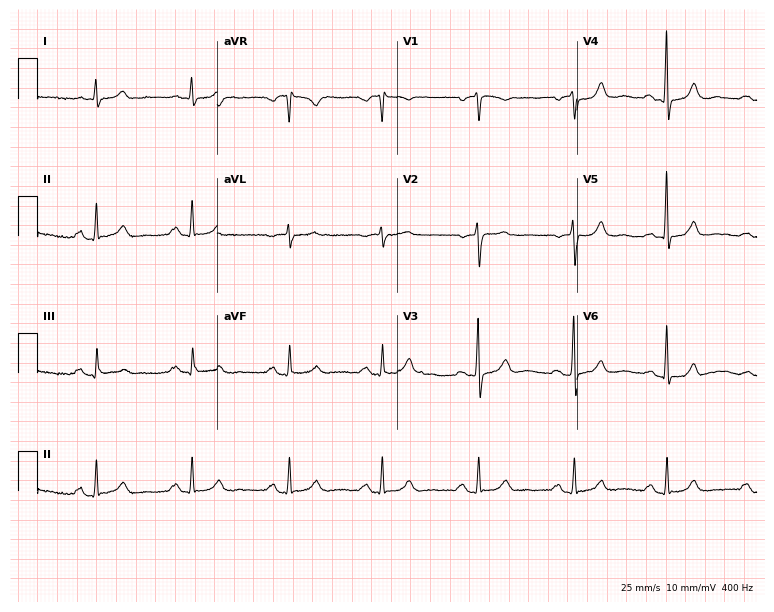
ECG — a female, 68 years old. Screened for six findings — first-degree AV block, right bundle branch block (RBBB), left bundle branch block (LBBB), sinus bradycardia, atrial fibrillation (AF), sinus tachycardia — none is recorded. Findings outside these six are not listed.